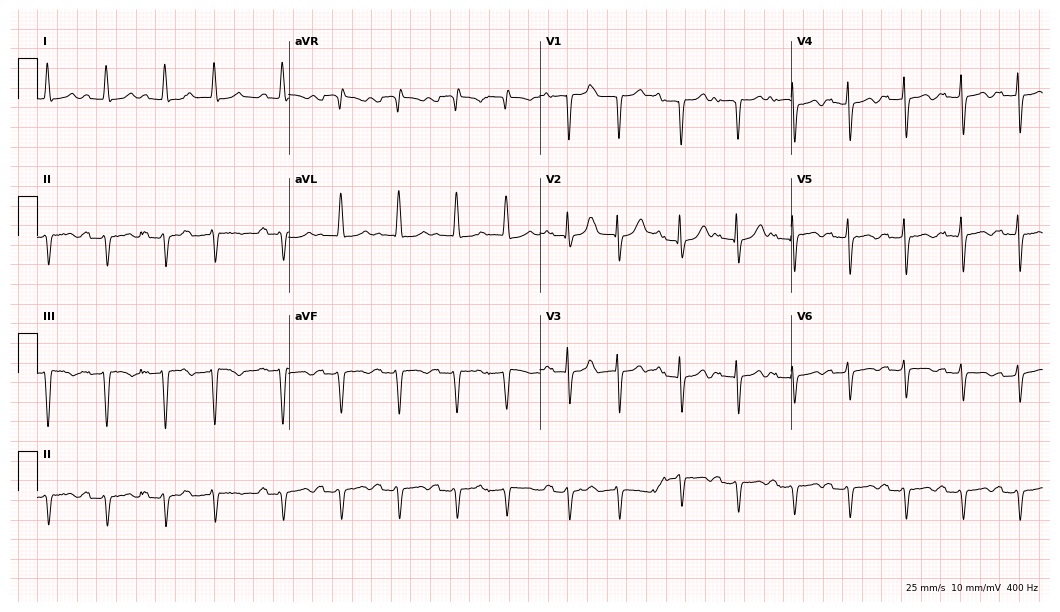
ECG — a male, 81 years old. Findings include first-degree AV block, sinus tachycardia (a sinus rate of 100 beats per minute or more).